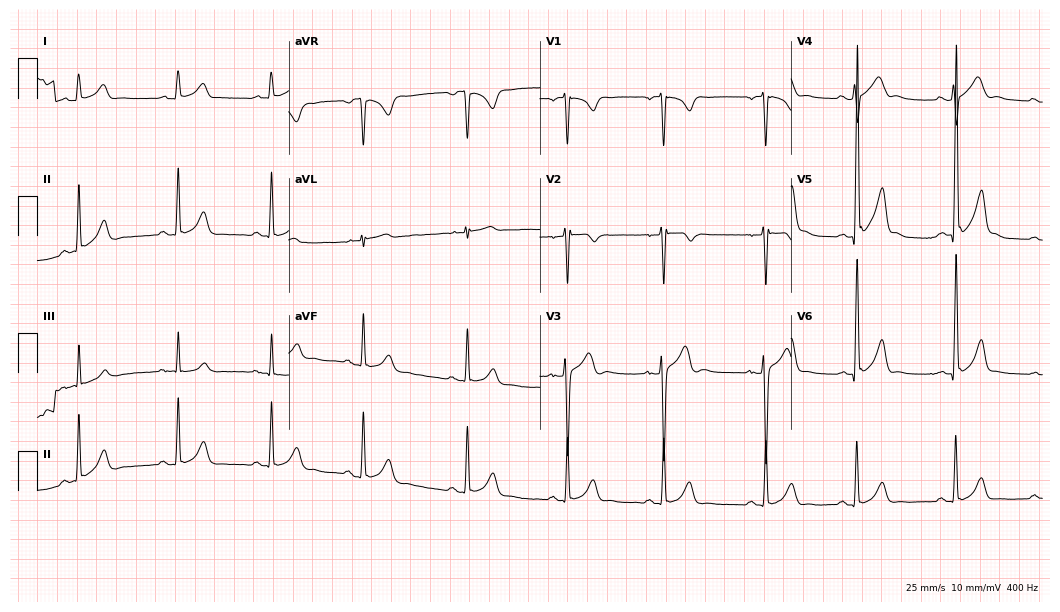
ECG — an 18-year-old male. Screened for six findings — first-degree AV block, right bundle branch block, left bundle branch block, sinus bradycardia, atrial fibrillation, sinus tachycardia — none is recorded.